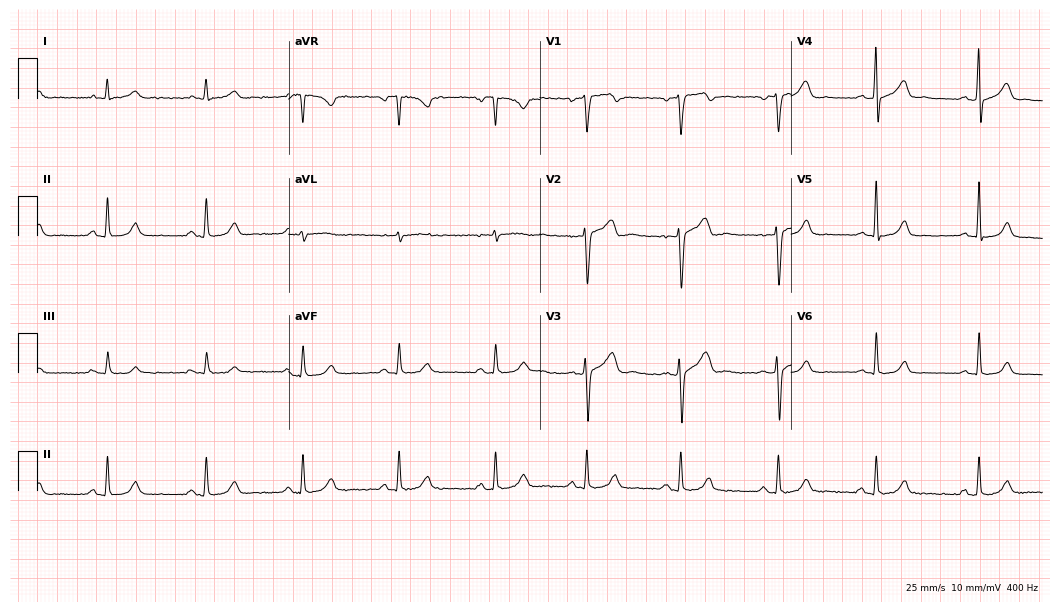
Standard 12-lead ECG recorded from a male patient, 53 years old. Read as a normal ECG.